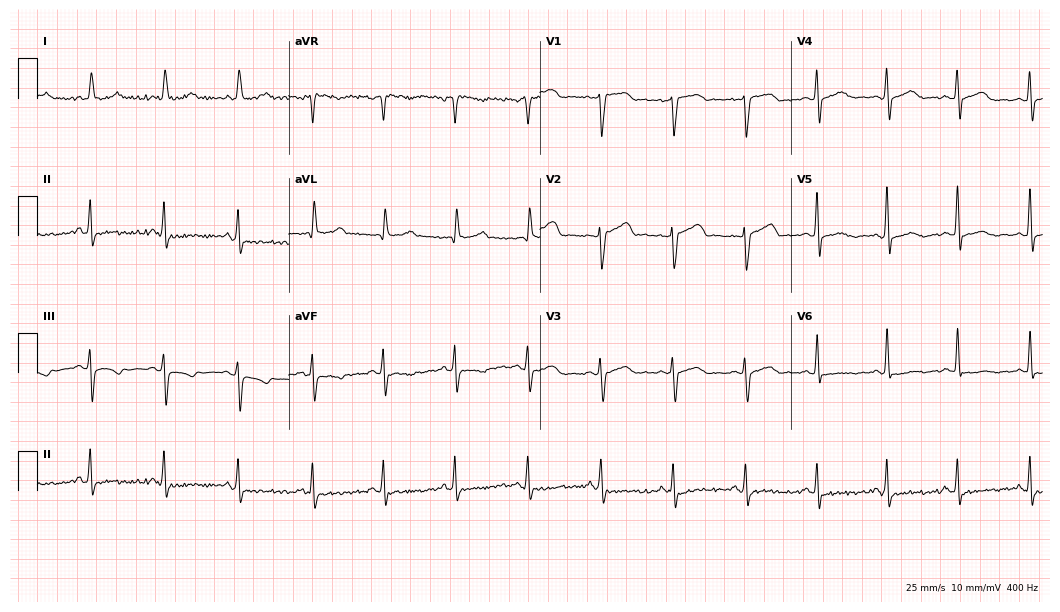
ECG (10.2-second recording at 400 Hz) — a 63-year-old woman. Screened for six findings — first-degree AV block, right bundle branch block, left bundle branch block, sinus bradycardia, atrial fibrillation, sinus tachycardia — none is recorded.